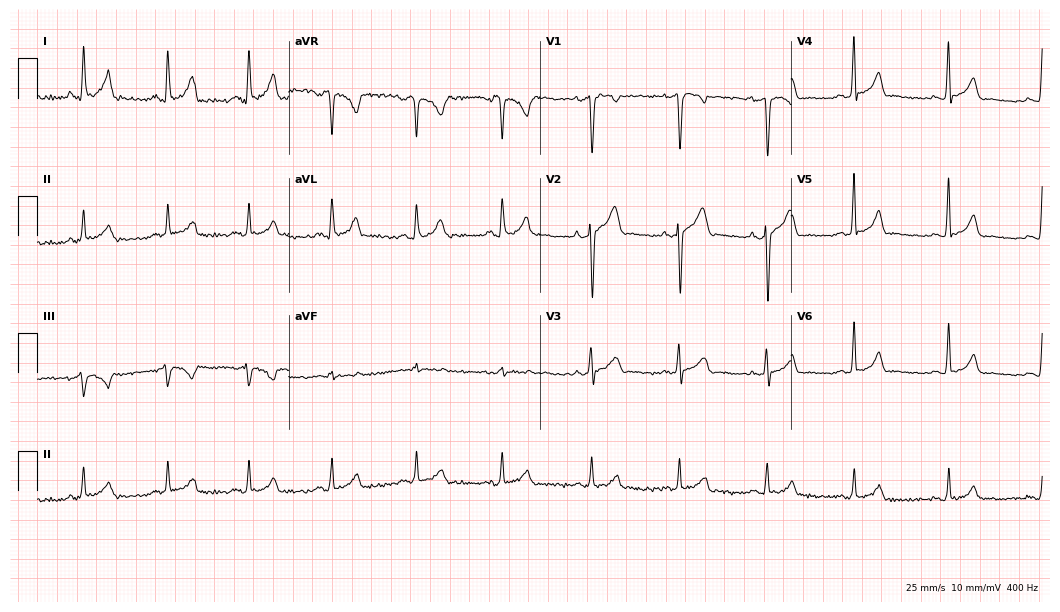
Standard 12-lead ECG recorded from a man, 39 years old (10.2-second recording at 400 Hz). None of these six findings is recorded: first-degree AV block, right bundle branch block, left bundle branch block, sinus bradycardia, atrial fibrillation, sinus tachycardia. Other findings, if any, are not listed.